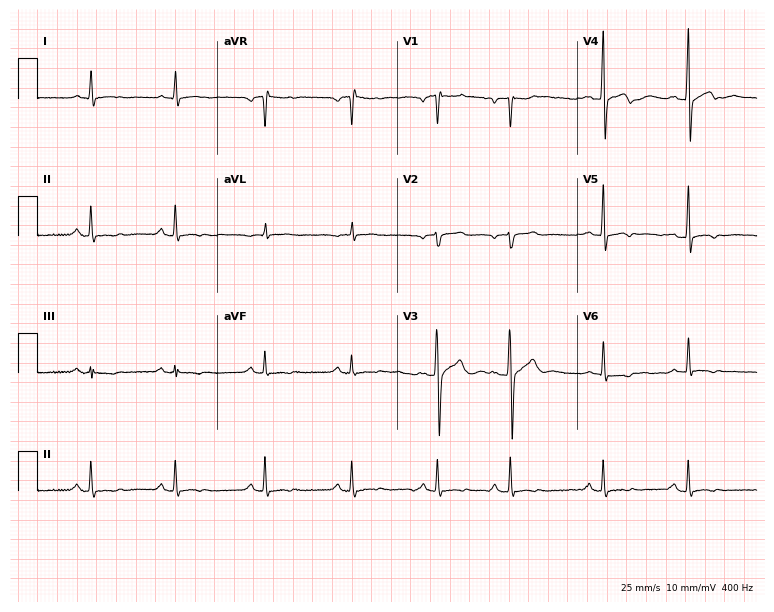
Resting 12-lead electrocardiogram (7.3-second recording at 400 Hz). Patient: a 72-year-old man. None of these six findings is recorded: first-degree AV block, right bundle branch block, left bundle branch block, sinus bradycardia, atrial fibrillation, sinus tachycardia.